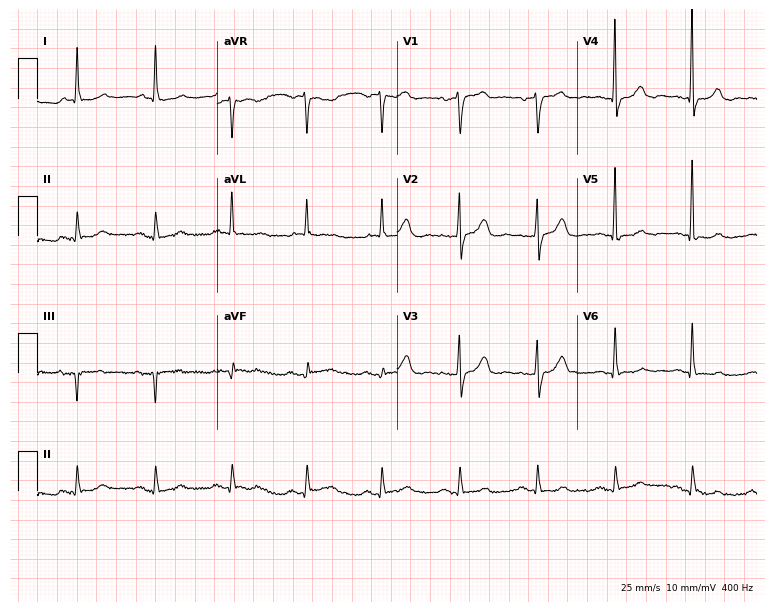
12-lead ECG from a female, 84 years old (7.3-second recording at 400 Hz). Recorded interpretation: within normal limits.